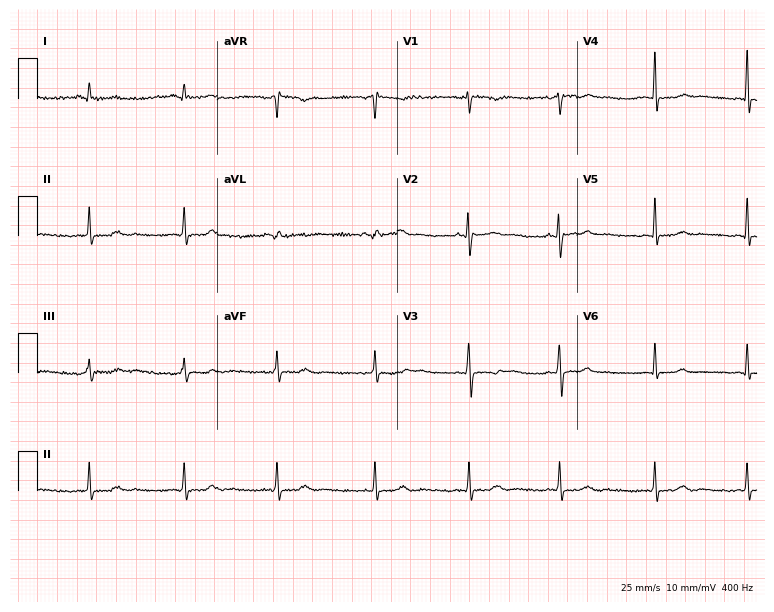
Standard 12-lead ECG recorded from a 31-year-old female. None of these six findings is recorded: first-degree AV block, right bundle branch block, left bundle branch block, sinus bradycardia, atrial fibrillation, sinus tachycardia.